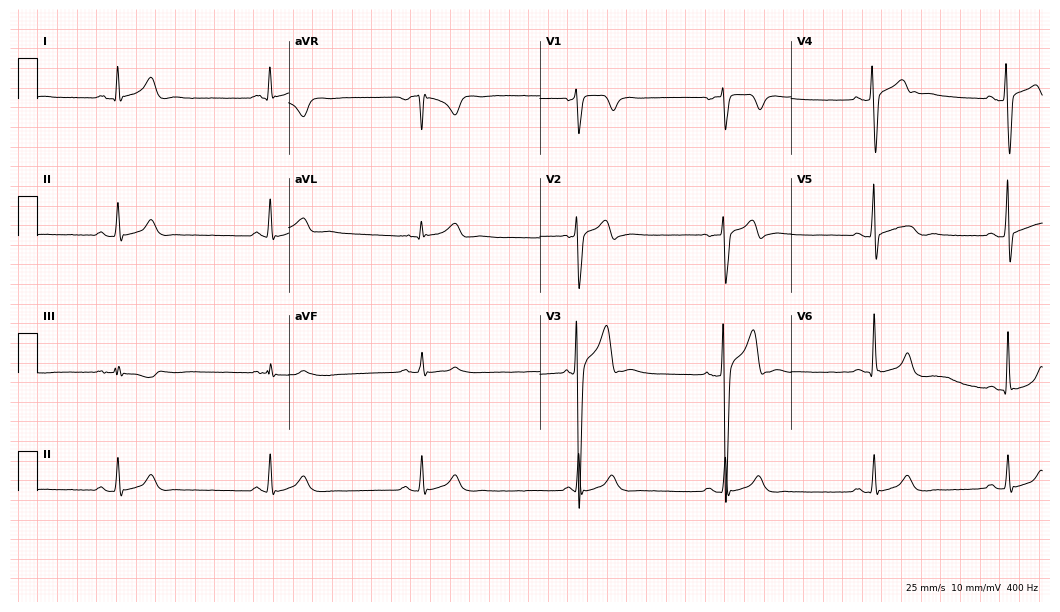
Electrocardiogram, a male, 26 years old. Of the six screened findings (first-degree AV block, right bundle branch block (RBBB), left bundle branch block (LBBB), sinus bradycardia, atrial fibrillation (AF), sinus tachycardia), none is recorded. Only these six findings were labelled.